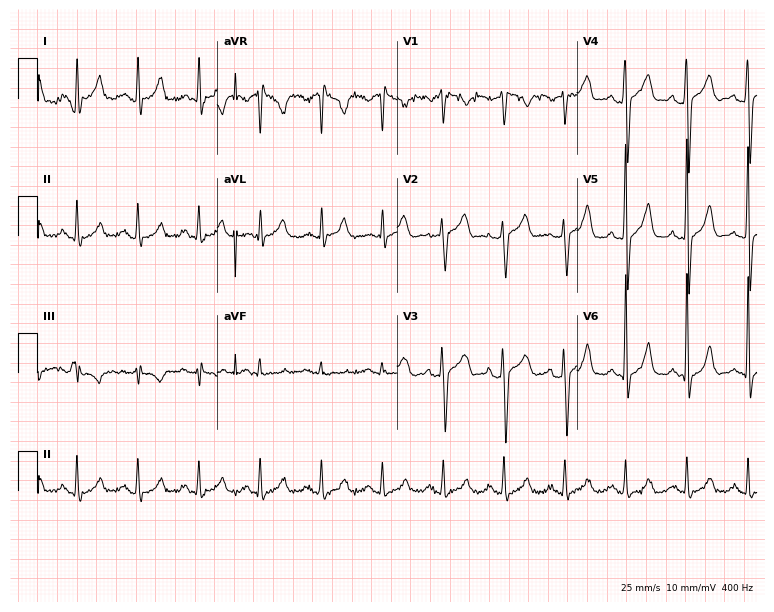
Standard 12-lead ECG recorded from a 67-year-old male patient (7.3-second recording at 400 Hz). Read as a normal ECG.